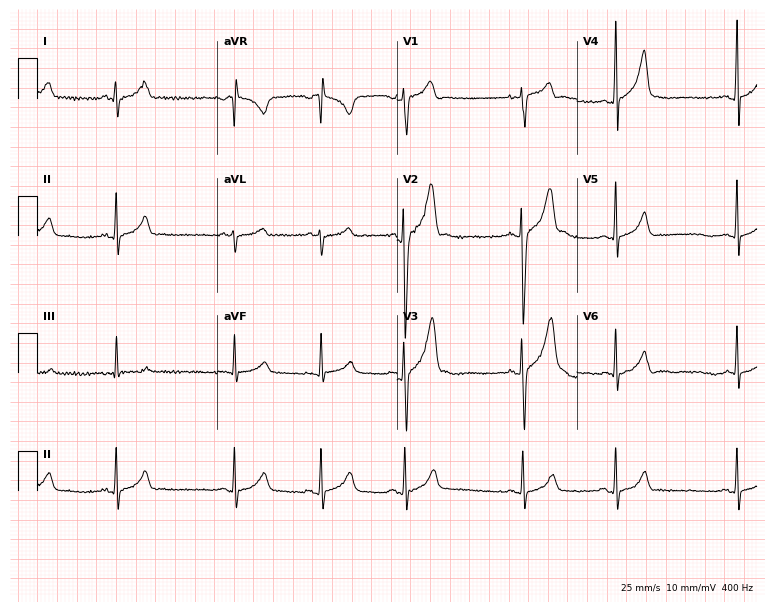
Resting 12-lead electrocardiogram (7.3-second recording at 400 Hz). Patient: a 17-year-old female. None of these six findings is recorded: first-degree AV block, right bundle branch block (RBBB), left bundle branch block (LBBB), sinus bradycardia, atrial fibrillation (AF), sinus tachycardia. Only these six findings were labelled.